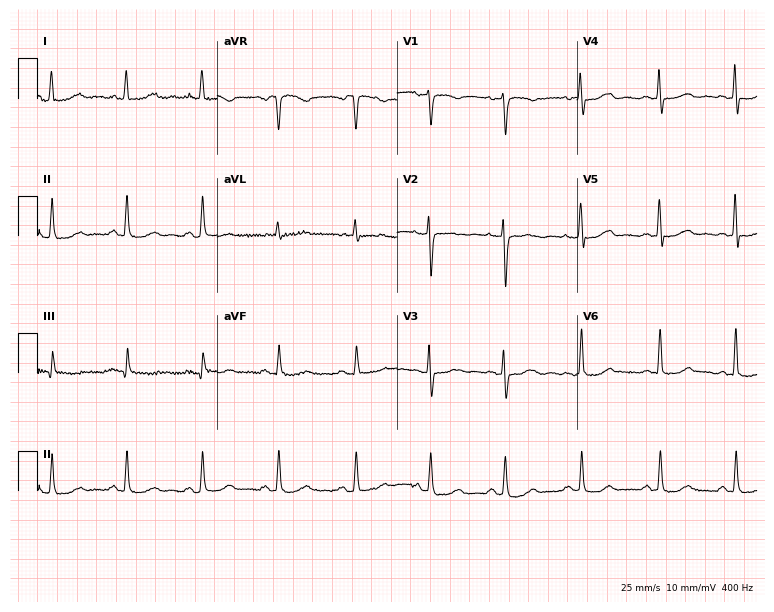
Electrocardiogram (7.3-second recording at 400 Hz), a 58-year-old female patient. Overall reading on record: normal ECG.